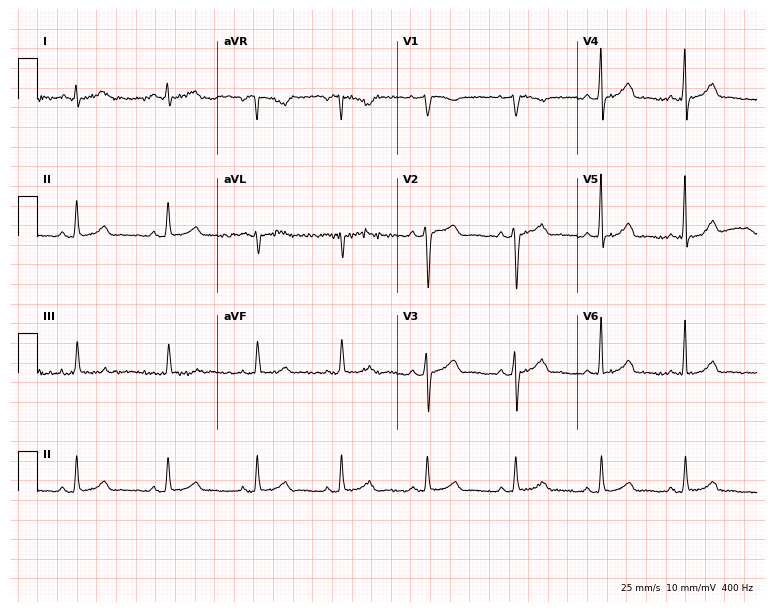
ECG (7.3-second recording at 400 Hz) — a 43-year-old female patient. Screened for six findings — first-degree AV block, right bundle branch block, left bundle branch block, sinus bradycardia, atrial fibrillation, sinus tachycardia — none is recorded. Other findings, if any, are not listed.